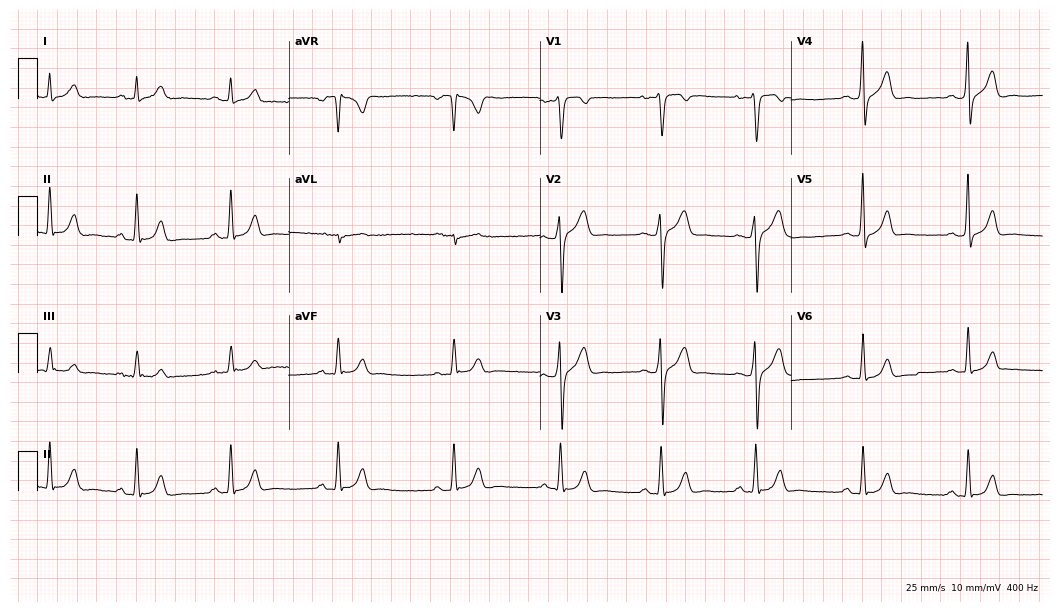
12-lead ECG (10.2-second recording at 400 Hz) from a 25-year-old male patient. Labelled as a normal ECG.